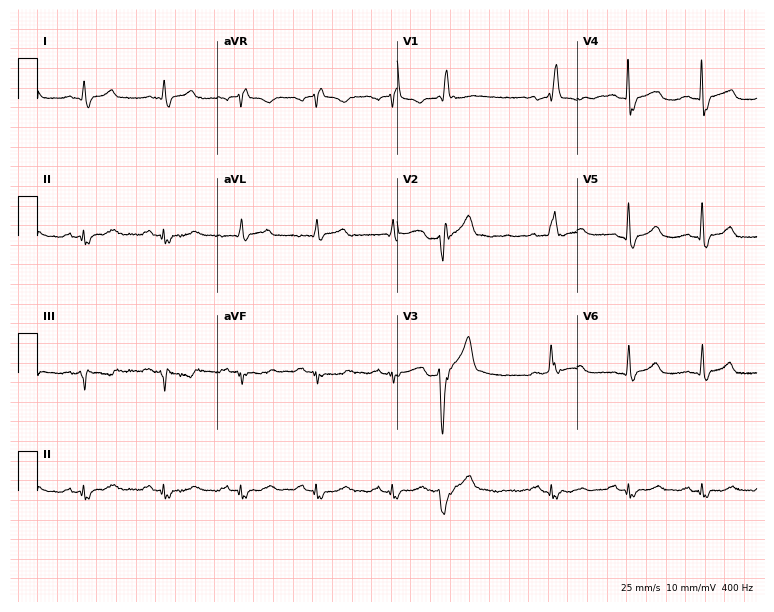
12-lead ECG (7.3-second recording at 400 Hz) from a 72-year-old man. Findings include right bundle branch block.